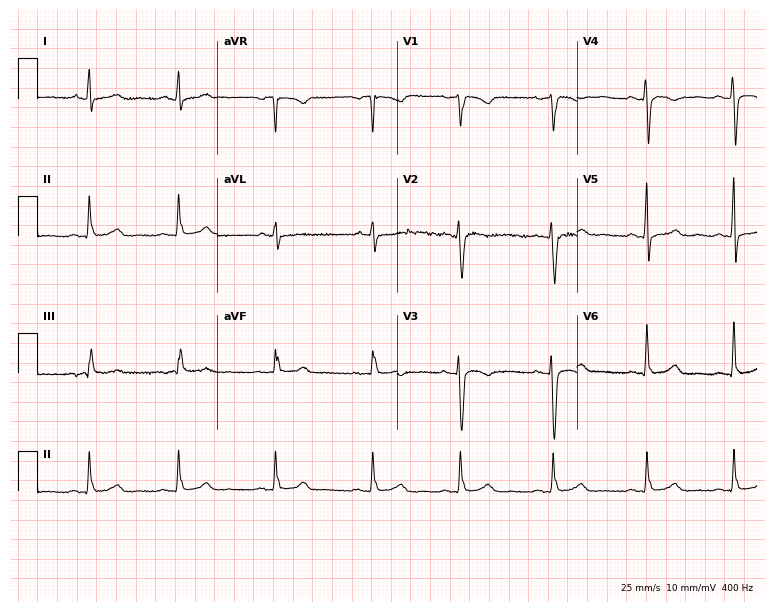
ECG — a woman, 46 years old. Screened for six findings — first-degree AV block, right bundle branch block, left bundle branch block, sinus bradycardia, atrial fibrillation, sinus tachycardia — none is recorded.